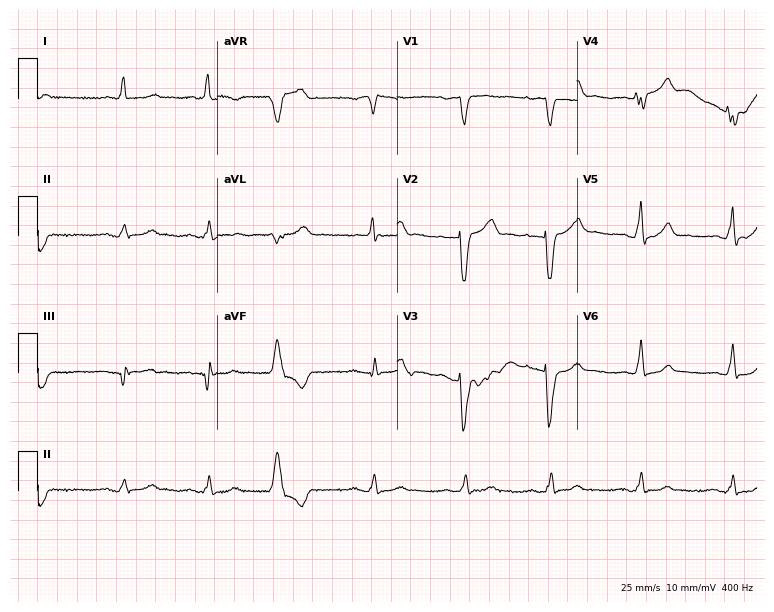
Resting 12-lead electrocardiogram (7.3-second recording at 400 Hz). Patient: a man, 70 years old. None of these six findings is recorded: first-degree AV block, right bundle branch block (RBBB), left bundle branch block (LBBB), sinus bradycardia, atrial fibrillation (AF), sinus tachycardia.